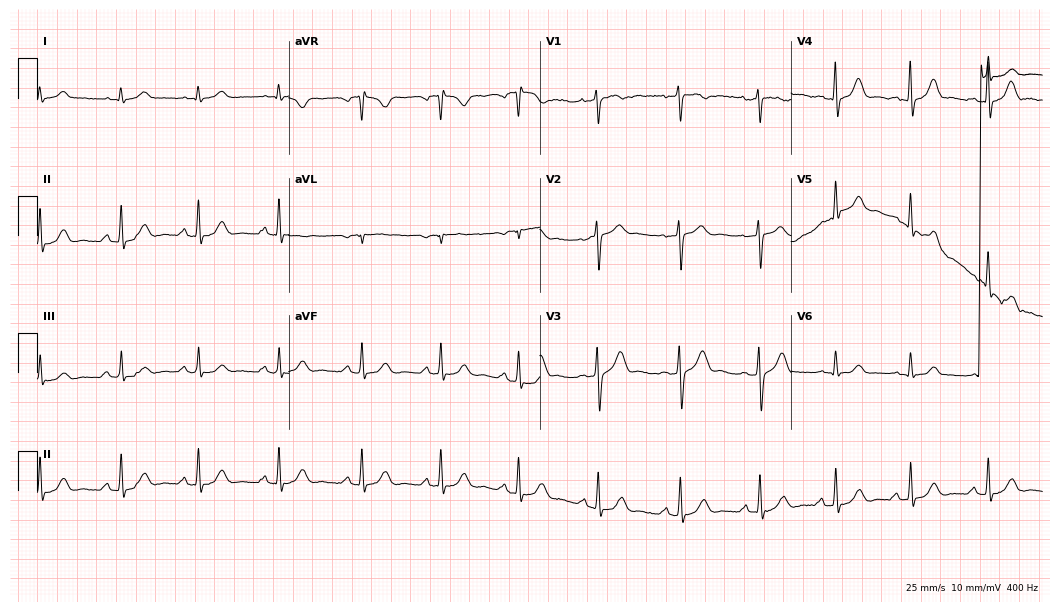
12-lead ECG from a 46-year-old male. Labelled as a normal ECG.